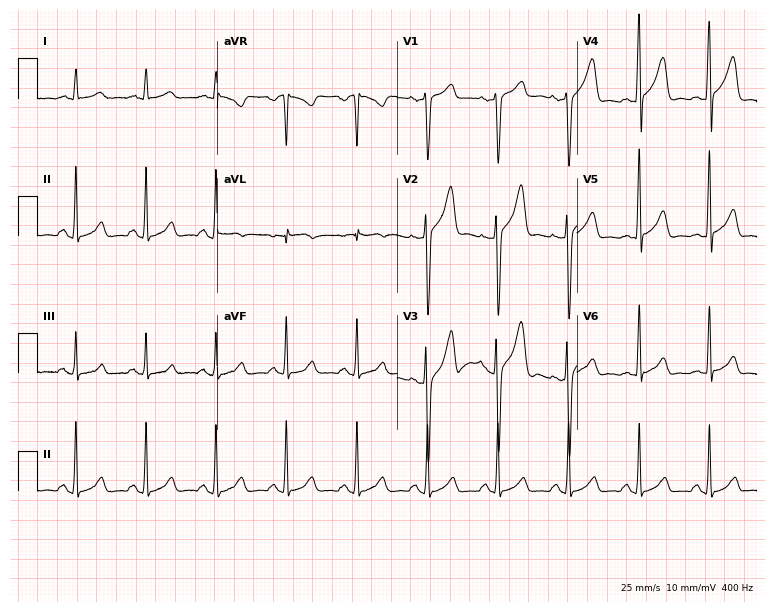
ECG (7.3-second recording at 400 Hz) — a 47-year-old male. Labelled as a normal ECG.